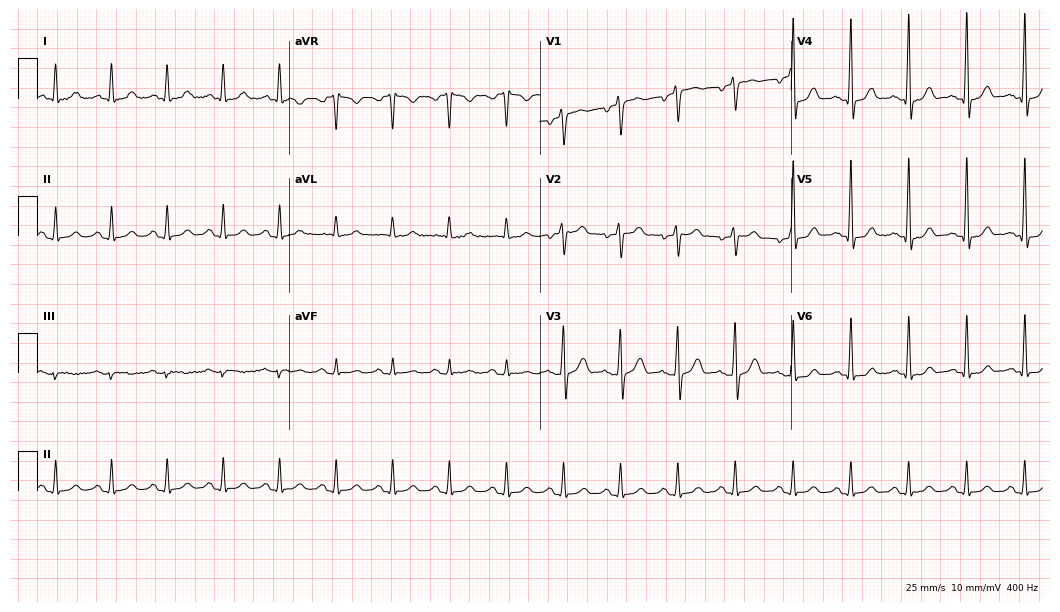
ECG — a man, 47 years old. Findings include sinus tachycardia (a sinus rate of 100 beats per minute or more).